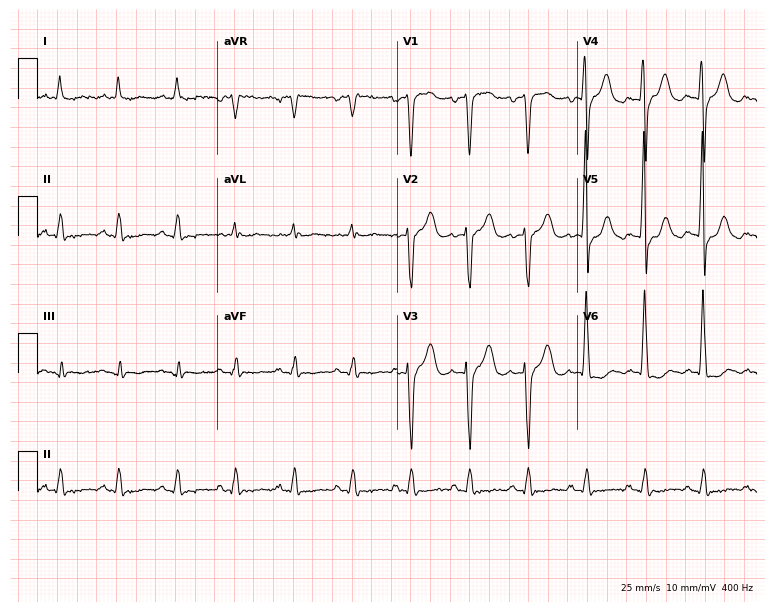
ECG — an 80-year-old male. Screened for six findings — first-degree AV block, right bundle branch block, left bundle branch block, sinus bradycardia, atrial fibrillation, sinus tachycardia — none is recorded.